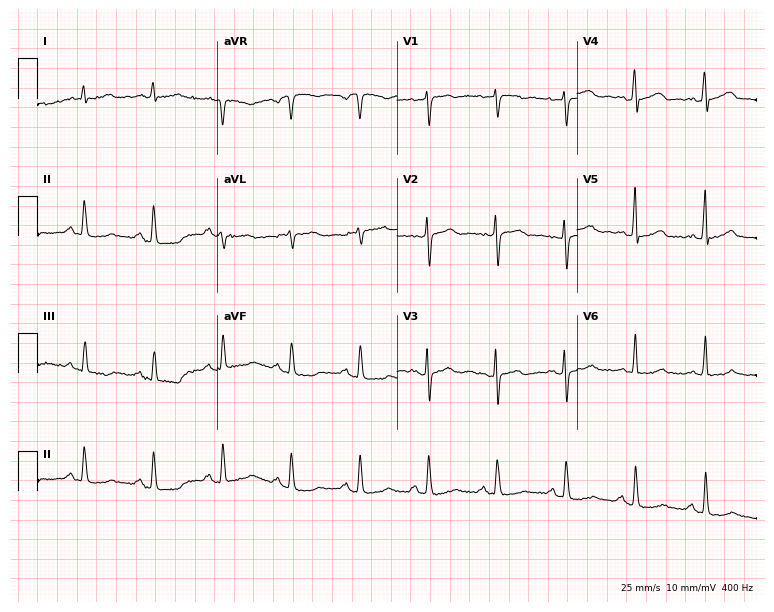
Standard 12-lead ECG recorded from a 63-year-old female patient. None of these six findings is recorded: first-degree AV block, right bundle branch block (RBBB), left bundle branch block (LBBB), sinus bradycardia, atrial fibrillation (AF), sinus tachycardia.